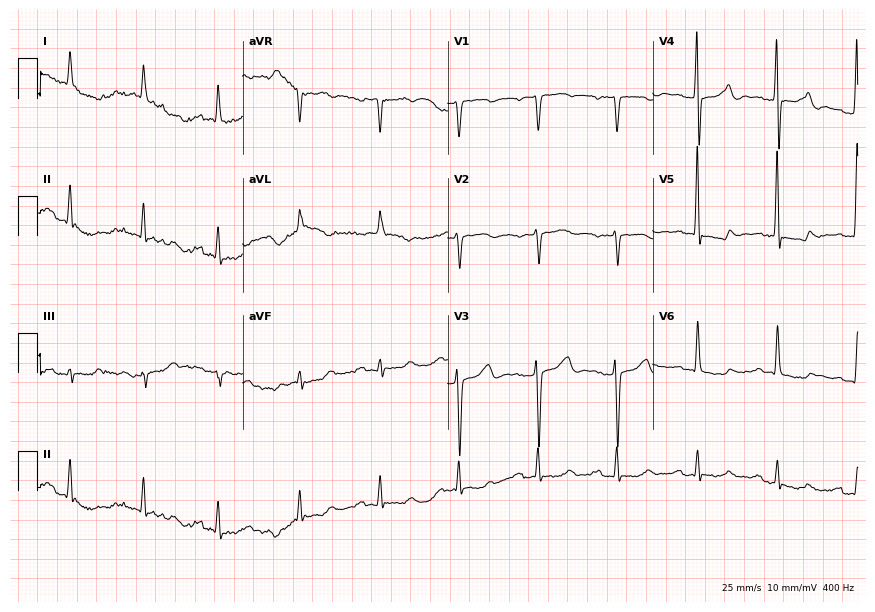
ECG (8.4-second recording at 400 Hz) — an 83-year-old woman. Screened for six findings — first-degree AV block, right bundle branch block, left bundle branch block, sinus bradycardia, atrial fibrillation, sinus tachycardia — none is recorded.